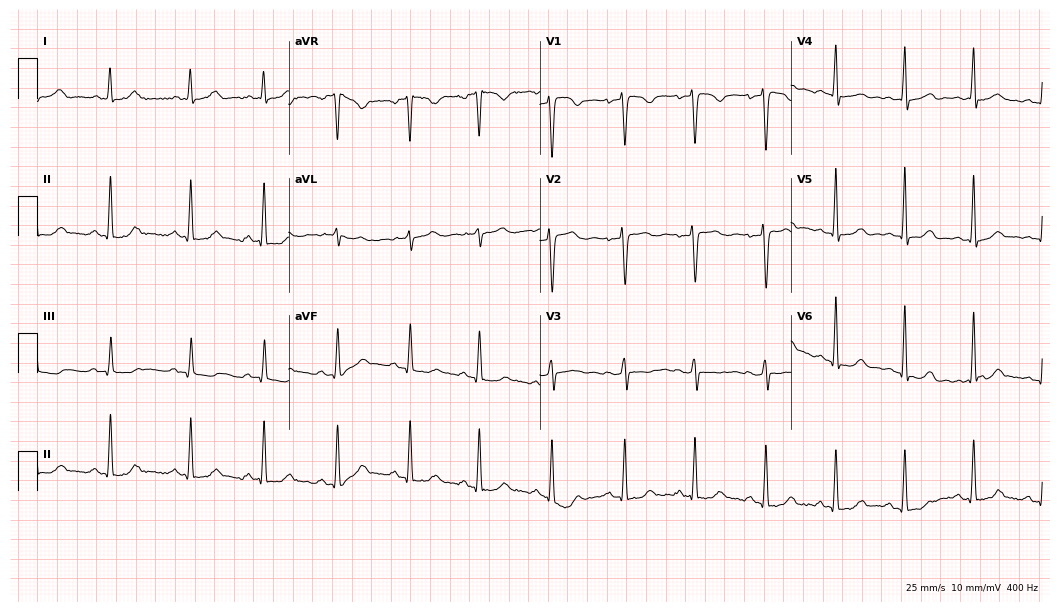
12-lead ECG from a female, 32 years old. Recorded interpretation: within normal limits.